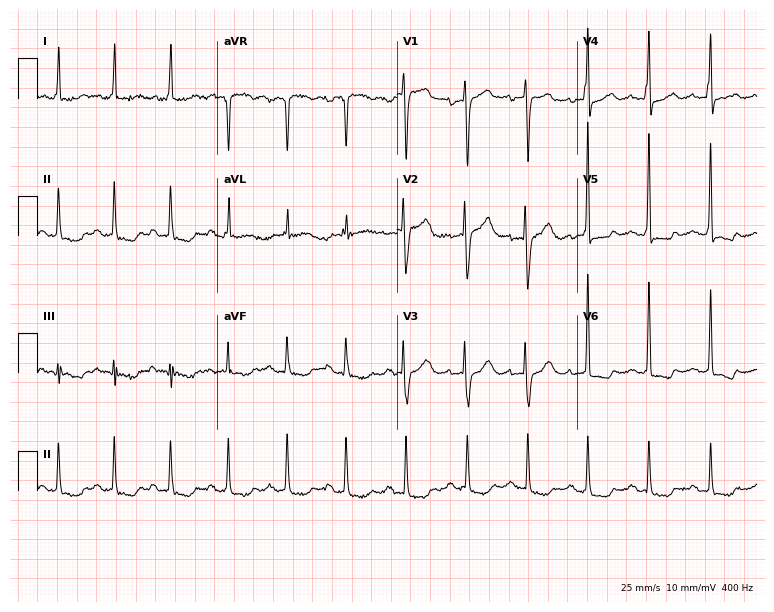
Resting 12-lead electrocardiogram. Patient: an 81-year-old woman. None of these six findings is recorded: first-degree AV block, right bundle branch block (RBBB), left bundle branch block (LBBB), sinus bradycardia, atrial fibrillation (AF), sinus tachycardia. Other findings, if any, are not listed.